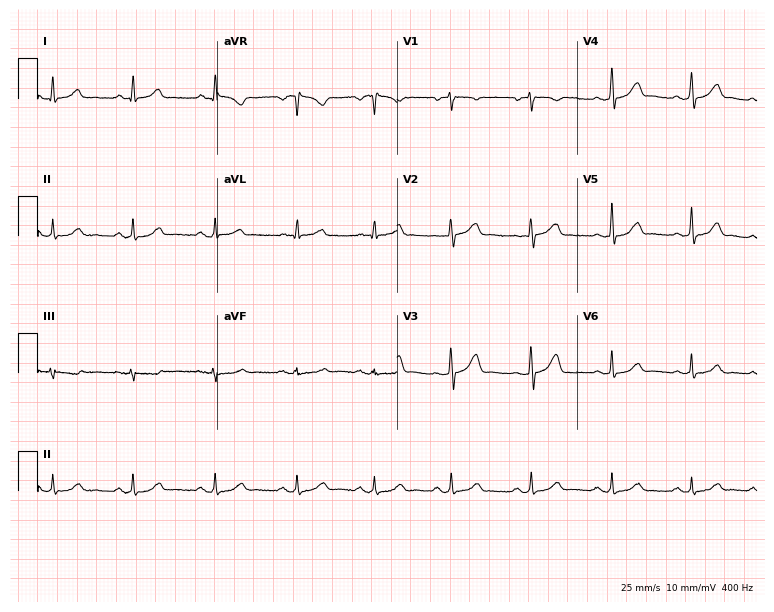
12-lead ECG from a female patient, 45 years old. Recorded interpretation: within normal limits.